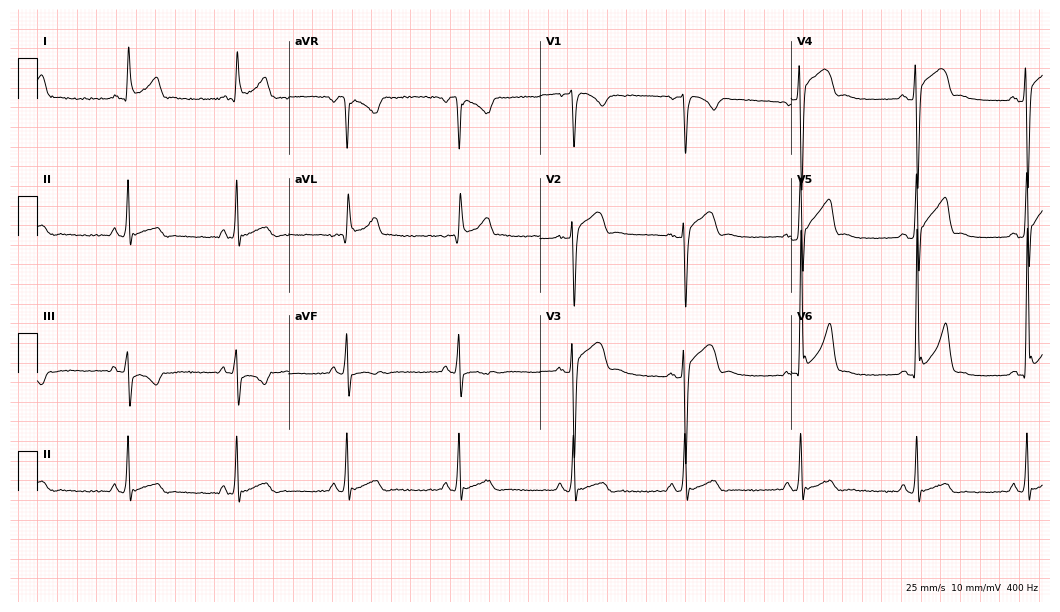
ECG (10.2-second recording at 400 Hz) — a male patient, 43 years old. Screened for six findings — first-degree AV block, right bundle branch block (RBBB), left bundle branch block (LBBB), sinus bradycardia, atrial fibrillation (AF), sinus tachycardia — none is recorded.